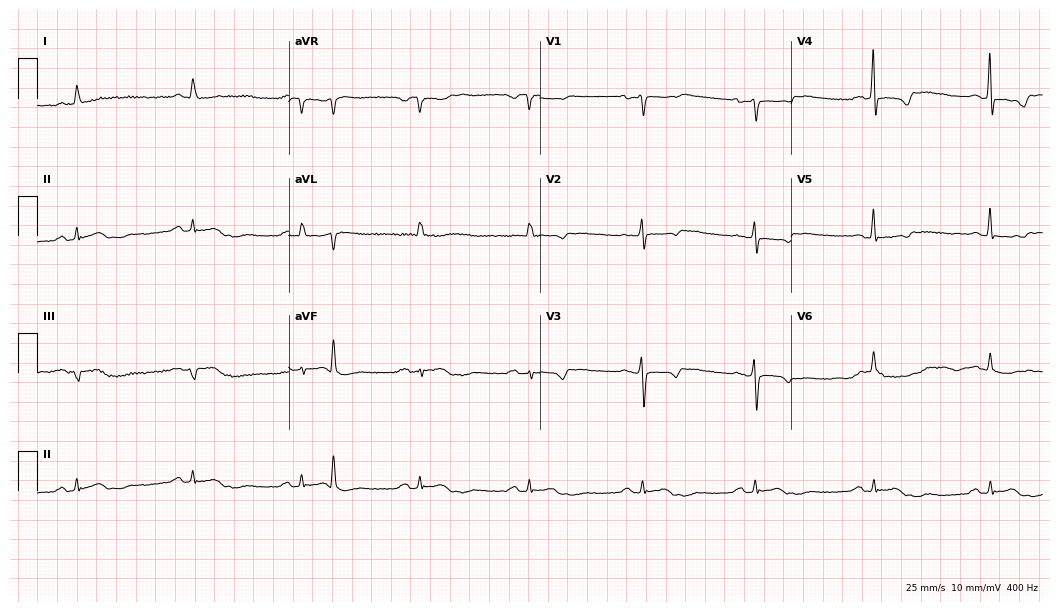
12-lead ECG from a female patient, 60 years old. Screened for six findings — first-degree AV block, right bundle branch block (RBBB), left bundle branch block (LBBB), sinus bradycardia, atrial fibrillation (AF), sinus tachycardia — none is recorded. Only these six findings were labelled.